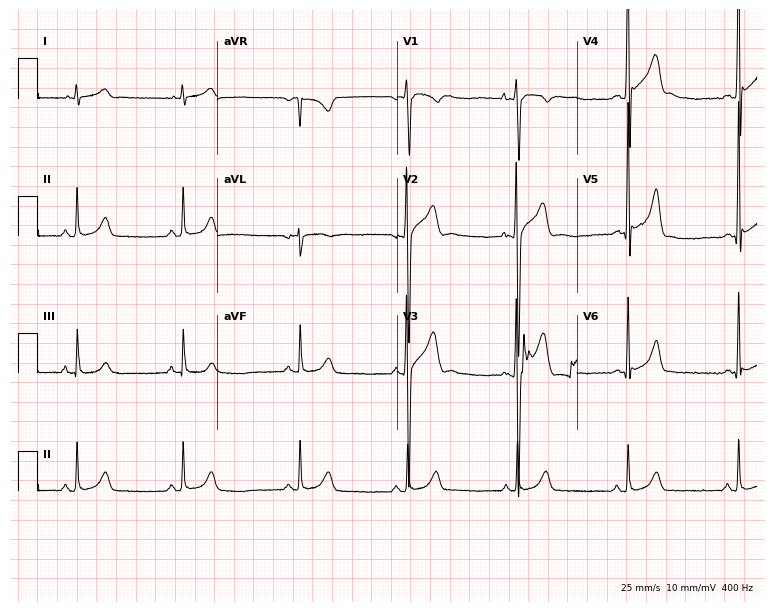
Resting 12-lead electrocardiogram (7.3-second recording at 400 Hz). Patient: a man, 18 years old. None of these six findings is recorded: first-degree AV block, right bundle branch block (RBBB), left bundle branch block (LBBB), sinus bradycardia, atrial fibrillation (AF), sinus tachycardia. Findings outside these six are not listed.